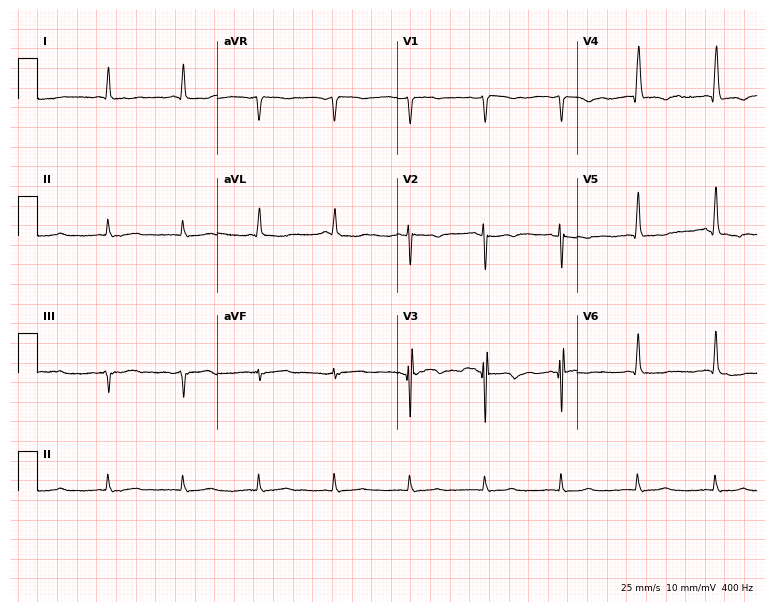
12-lead ECG from an 85-year-old woman. No first-degree AV block, right bundle branch block (RBBB), left bundle branch block (LBBB), sinus bradycardia, atrial fibrillation (AF) or sinus tachycardia recorded for this tracing. Findings outside these six are not listed.